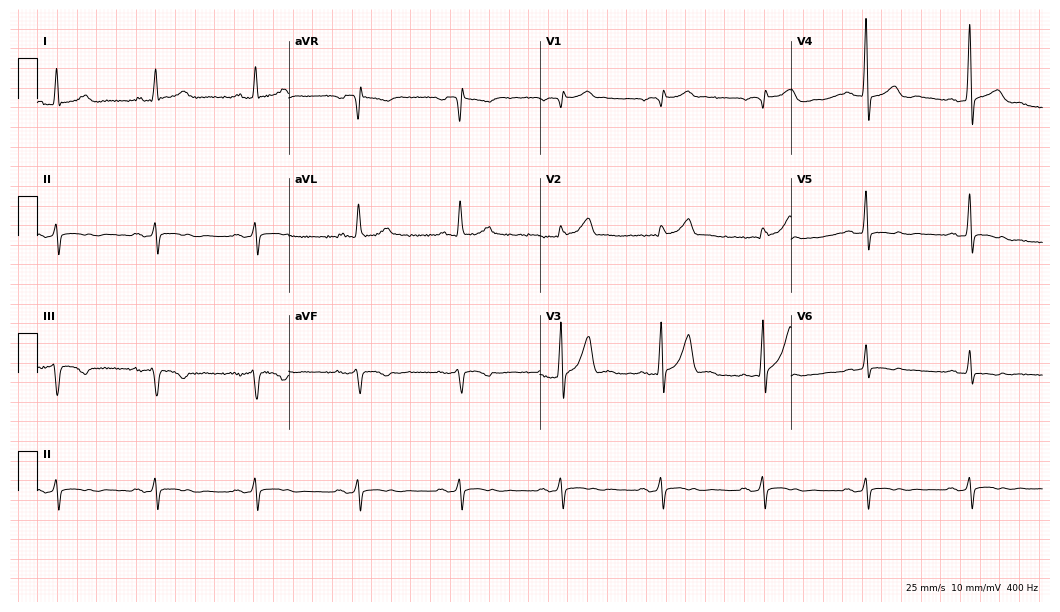
ECG (10.2-second recording at 400 Hz) — a 60-year-old man. Screened for six findings — first-degree AV block, right bundle branch block, left bundle branch block, sinus bradycardia, atrial fibrillation, sinus tachycardia — none is recorded.